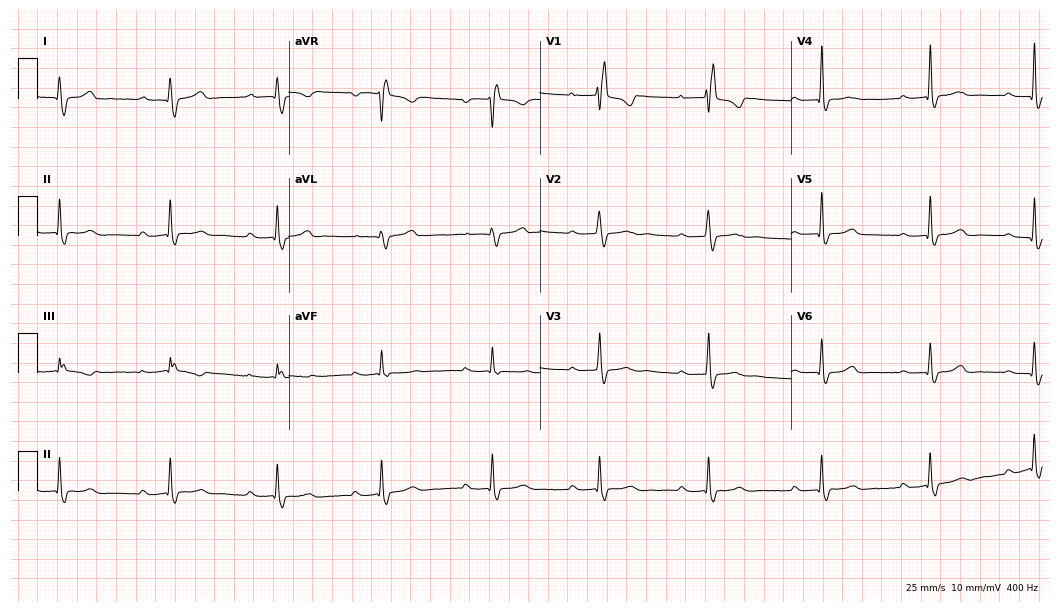
Standard 12-lead ECG recorded from a 28-year-old female. The tracing shows first-degree AV block, right bundle branch block (RBBB).